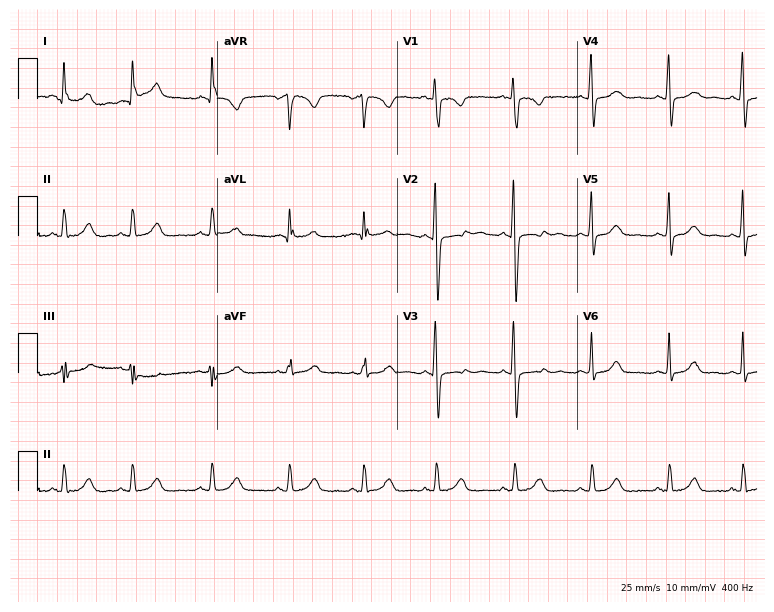
12-lead ECG from a female, 21 years old (7.3-second recording at 400 Hz). Recorded interpretation: within normal limits.